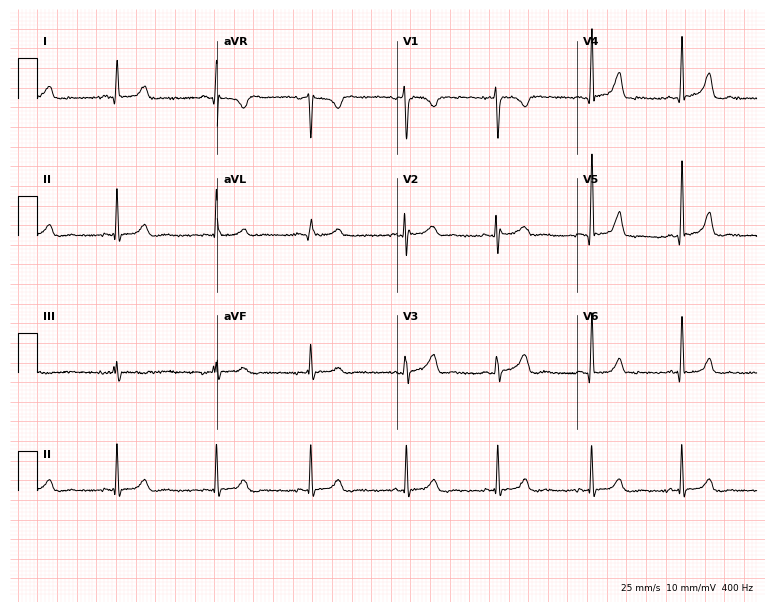
Electrocardiogram (7.3-second recording at 400 Hz), a 23-year-old female. Overall reading on record: normal ECG.